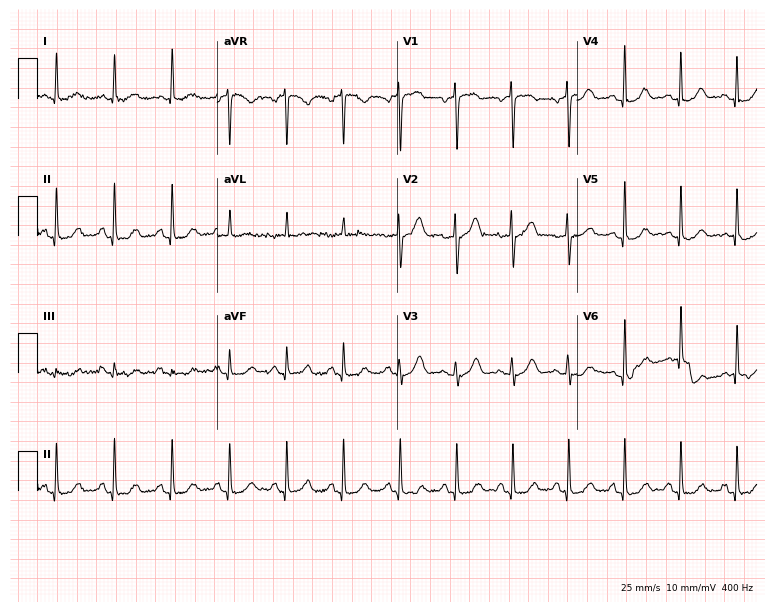
Resting 12-lead electrocardiogram. Patient: a female, 75 years old. The tracing shows sinus tachycardia (a sinus rate of 100 beats per minute or more).